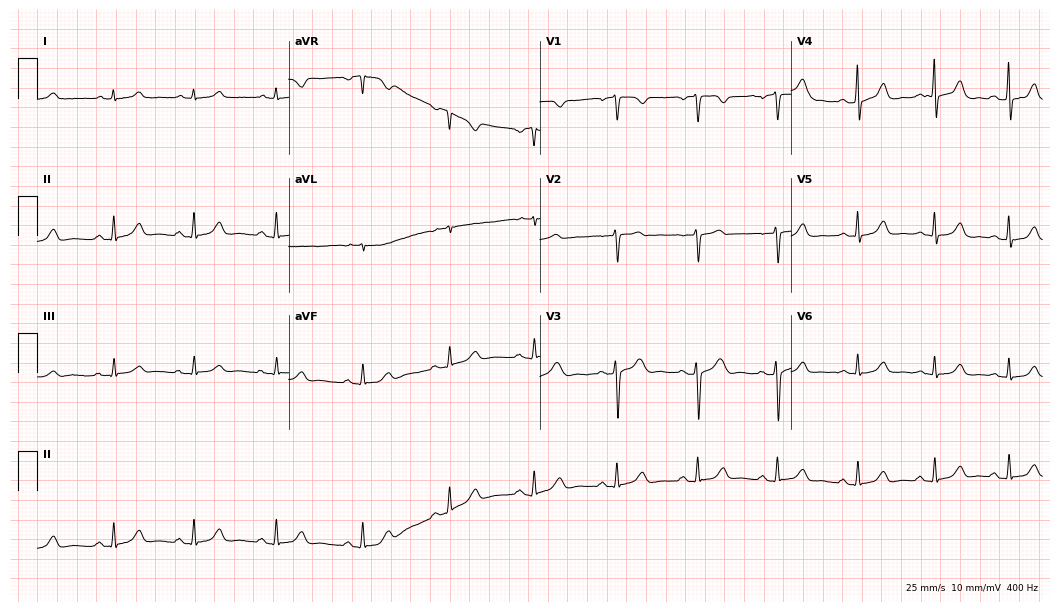
ECG (10.2-second recording at 400 Hz) — a female, 31 years old. Labelled as a normal ECG.